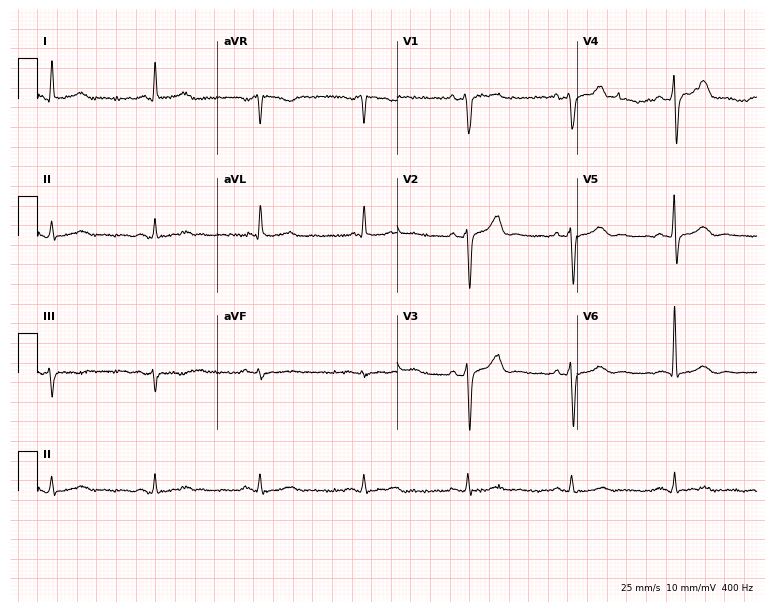
12-lead ECG from a 76-year-old man. No first-degree AV block, right bundle branch block (RBBB), left bundle branch block (LBBB), sinus bradycardia, atrial fibrillation (AF) or sinus tachycardia recorded for this tracing. Findings outside these six are not listed.